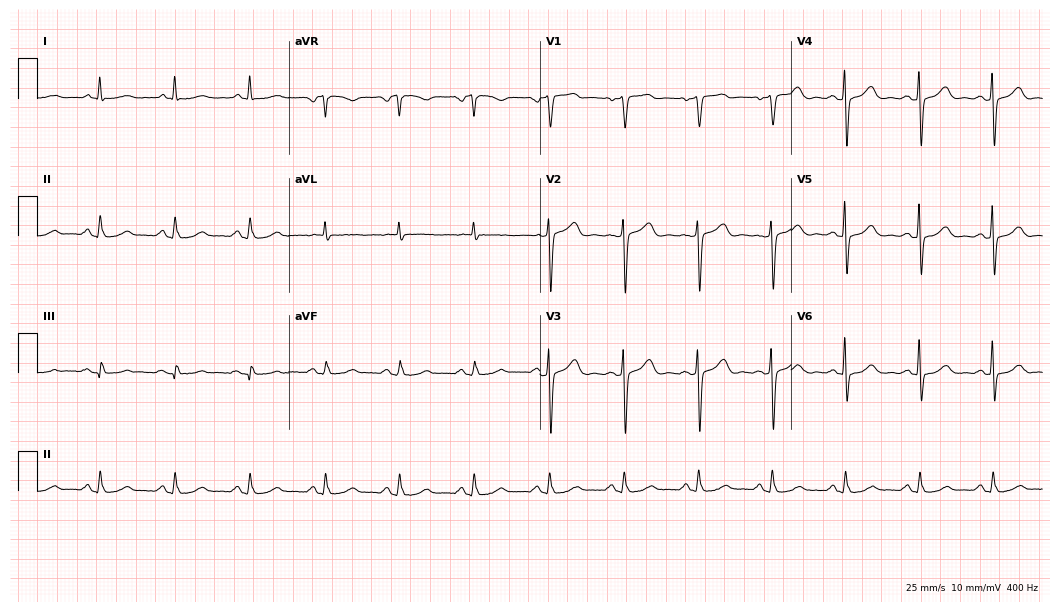
Resting 12-lead electrocardiogram. Patient: a 65-year-old man. Read as a normal ECG.